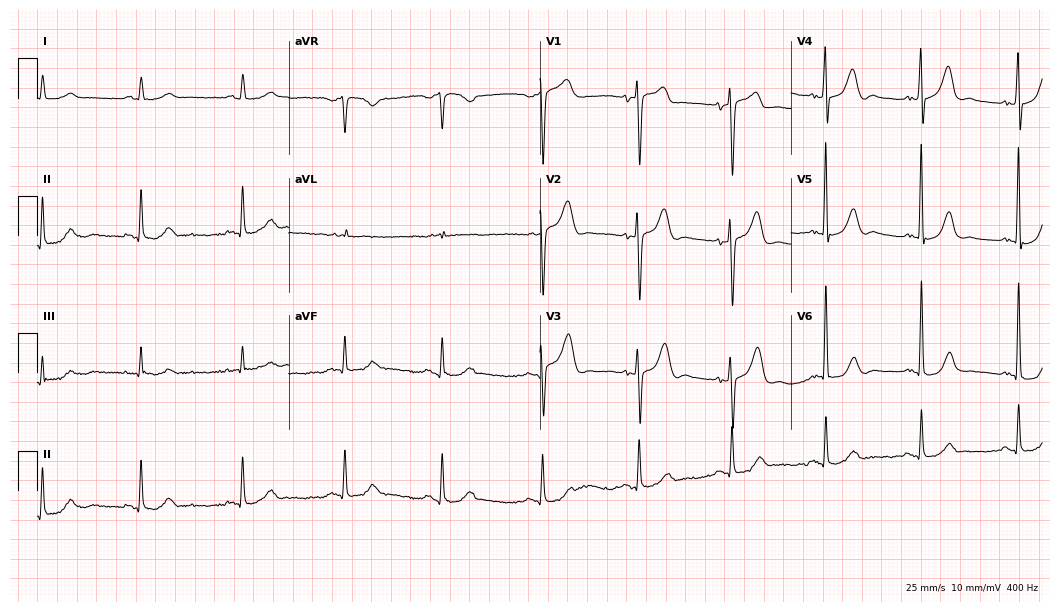
Electrocardiogram (10.2-second recording at 400 Hz), a male, 73 years old. Of the six screened findings (first-degree AV block, right bundle branch block, left bundle branch block, sinus bradycardia, atrial fibrillation, sinus tachycardia), none is recorded.